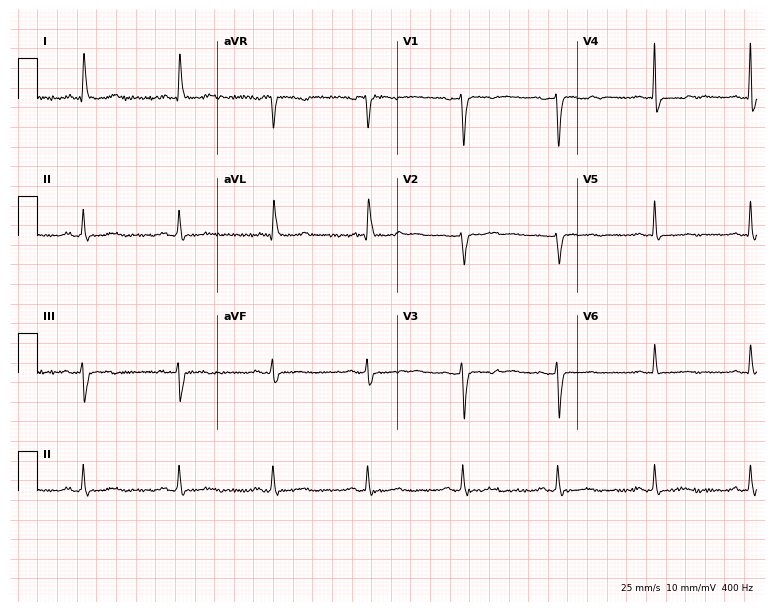
Electrocardiogram, a female patient, 68 years old. Of the six screened findings (first-degree AV block, right bundle branch block (RBBB), left bundle branch block (LBBB), sinus bradycardia, atrial fibrillation (AF), sinus tachycardia), none is recorded. Only these six findings were labelled.